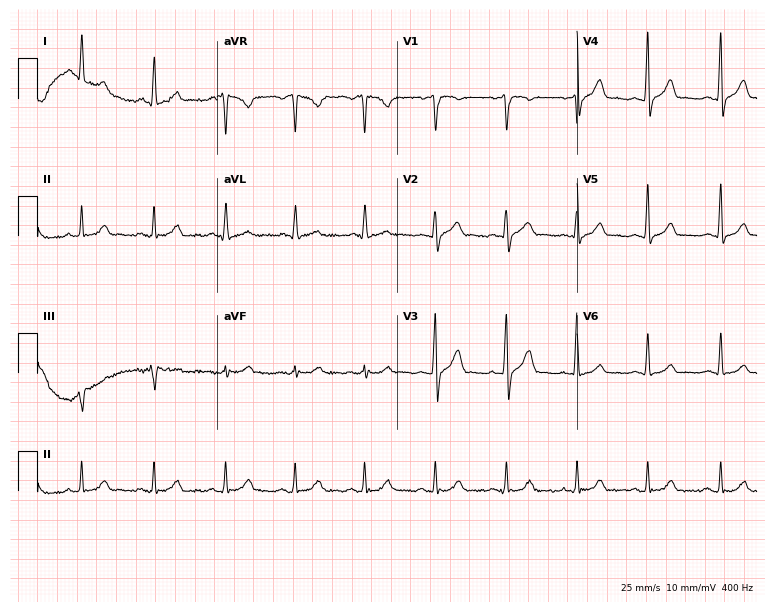
12-lead ECG from a 30-year-old male patient. Recorded interpretation: within normal limits.